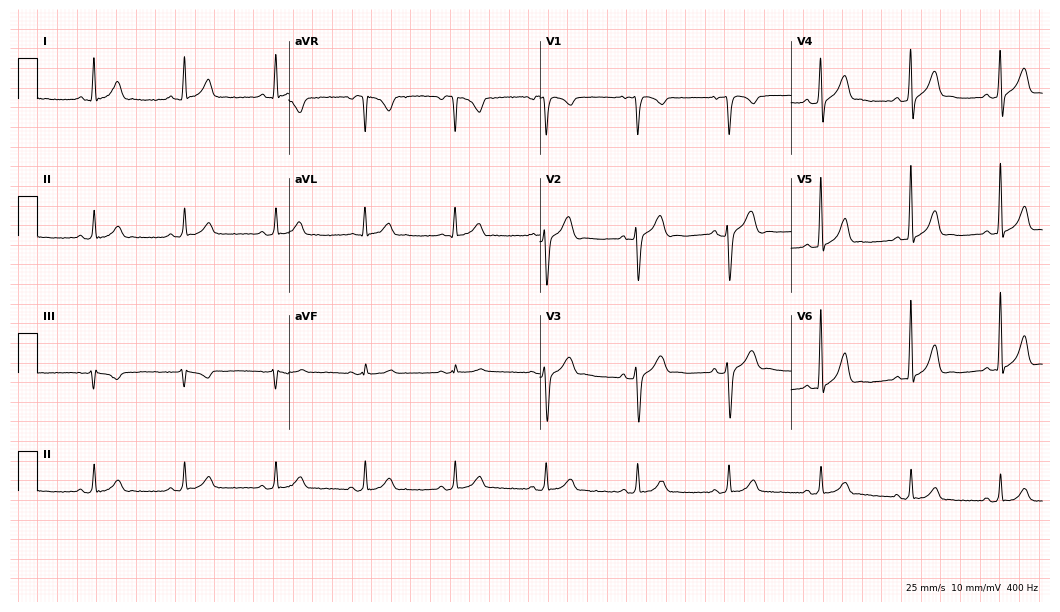
Standard 12-lead ECG recorded from a 54-year-old male patient (10.2-second recording at 400 Hz). None of these six findings is recorded: first-degree AV block, right bundle branch block (RBBB), left bundle branch block (LBBB), sinus bradycardia, atrial fibrillation (AF), sinus tachycardia. Only these six findings were labelled.